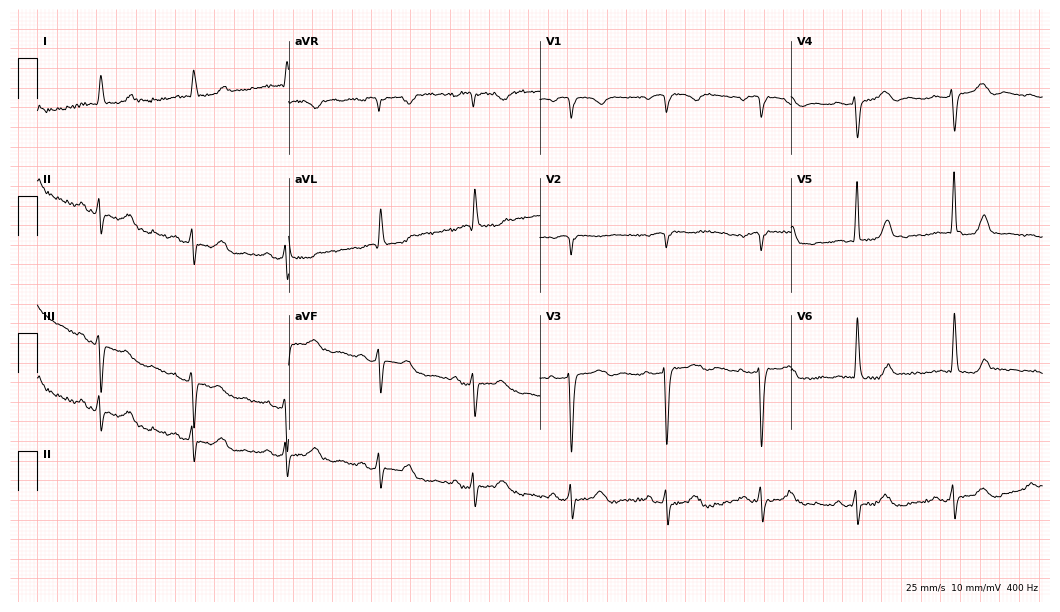
Resting 12-lead electrocardiogram (10.2-second recording at 400 Hz). Patient: a woman, 70 years old. None of these six findings is recorded: first-degree AV block, right bundle branch block, left bundle branch block, sinus bradycardia, atrial fibrillation, sinus tachycardia.